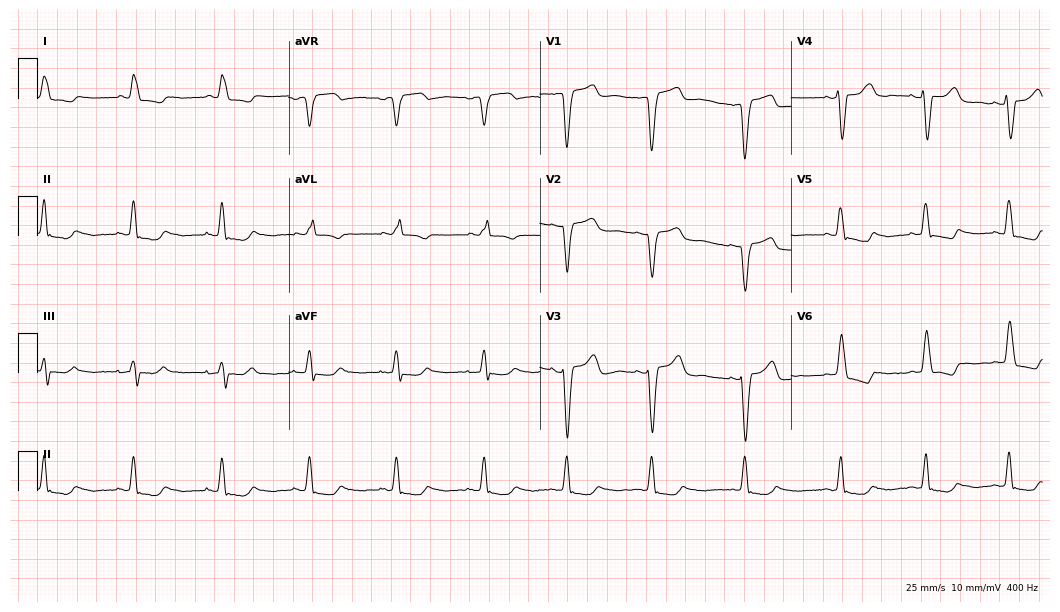
Resting 12-lead electrocardiogram. Patient: a female, 65 years old. None of these six findings is recorded: first-degree AV block, right bundle branch block, left bundle branch block, sinus bradycardia, atrial fibrillation, sinus tachycardia. Only these six findings were labelled.